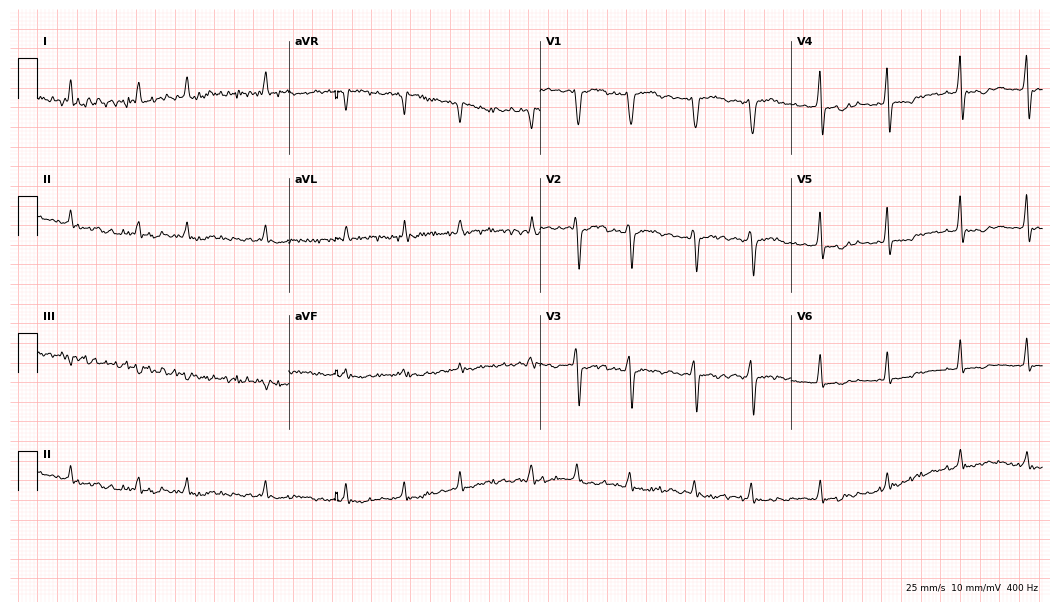
12-lead ECG from a 56-year-old man. Shows atrial fibrillation (AF).